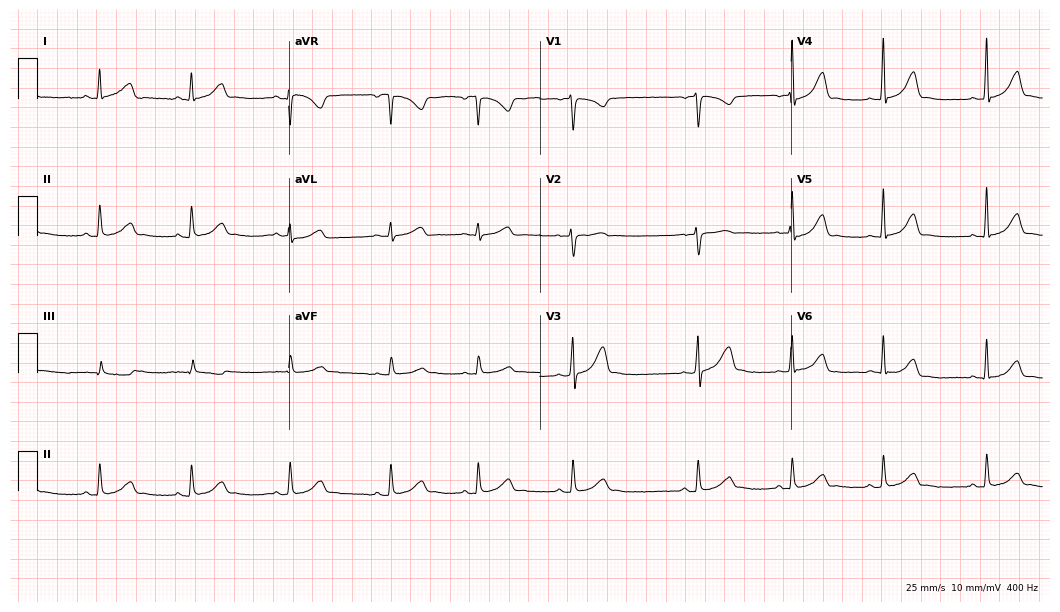
12-lead ECG from a woman, 20 years old (10.2-second recording at 400 Hz). Recorded interpretation: within normal limits.